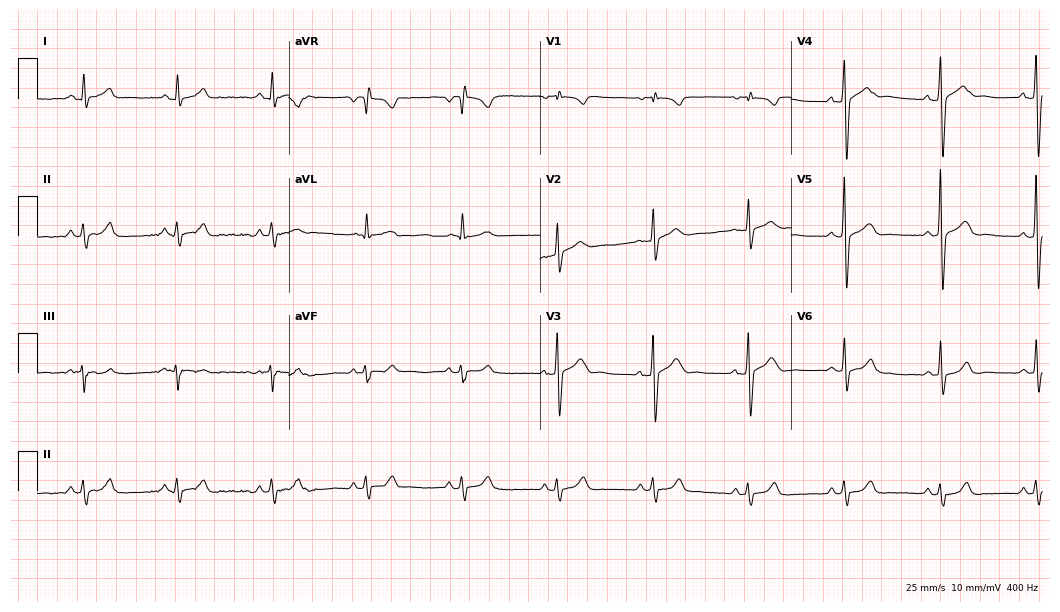
Electrocardiogram, a male patient, 49 years old. Of the six screened findings (first-degree AV block, right bundle branch block, left bundle branch block, sinus bradycardia, atrial fibrillation, sinus tachycardia), none is recorded.